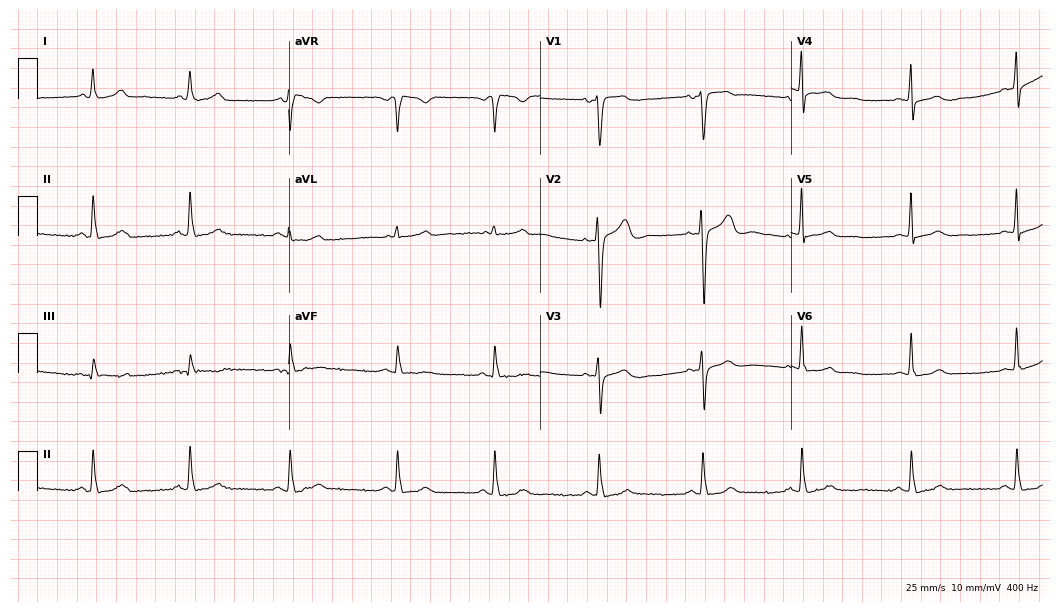
12-lead ECG from a woman, 62 years old. Labelled as a normal ECG.